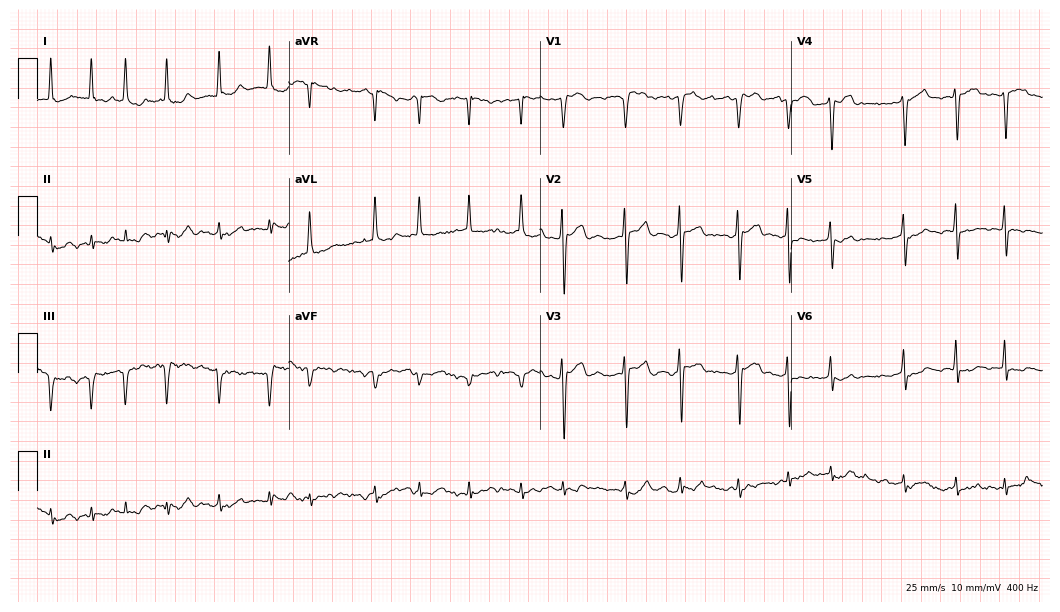
ECG (10.2-second recording at 400 Hz) — a female patient, 82 years old. Screened for six findings — first-degree AV block, right bundle branch block (RBBB), left bundle branch block (LBBB), sinus bradycardia, atrial fibrillation (AF), sinus tachycardia — none is recorded.